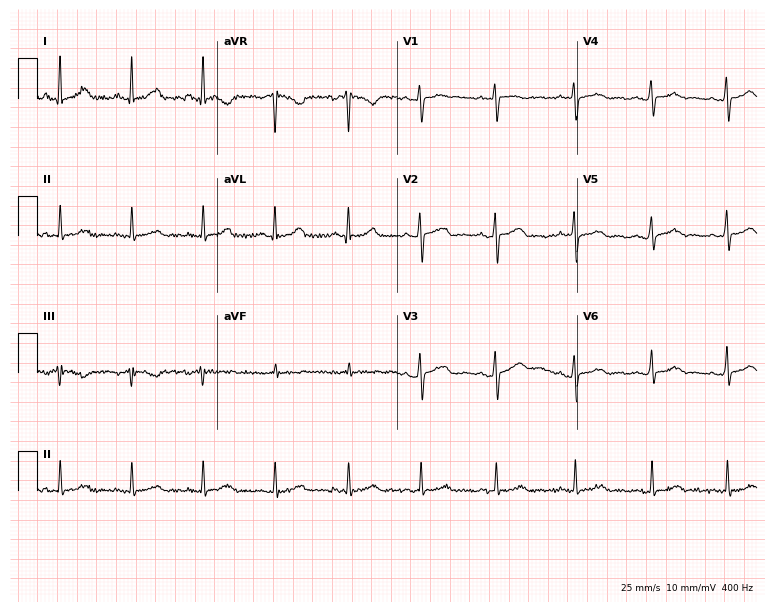
Electrocardiogram, a 24-year-old female. Overall reading on record: normal ECG.